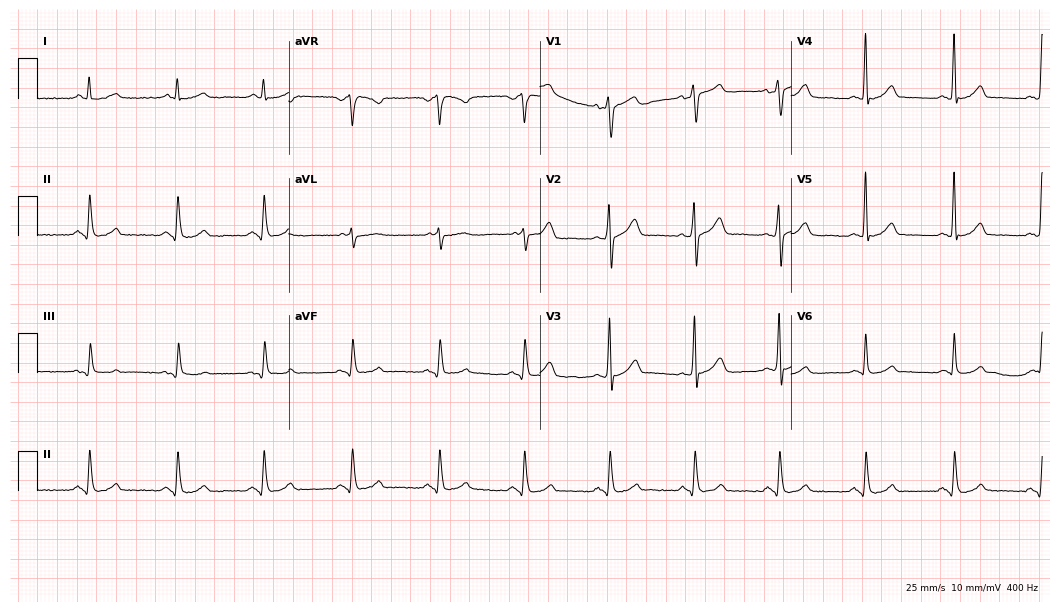
12-lead ECG from a 65-year-old man (10.2-second recording at 400 Hz). Recorded interpretation: within normal limits.